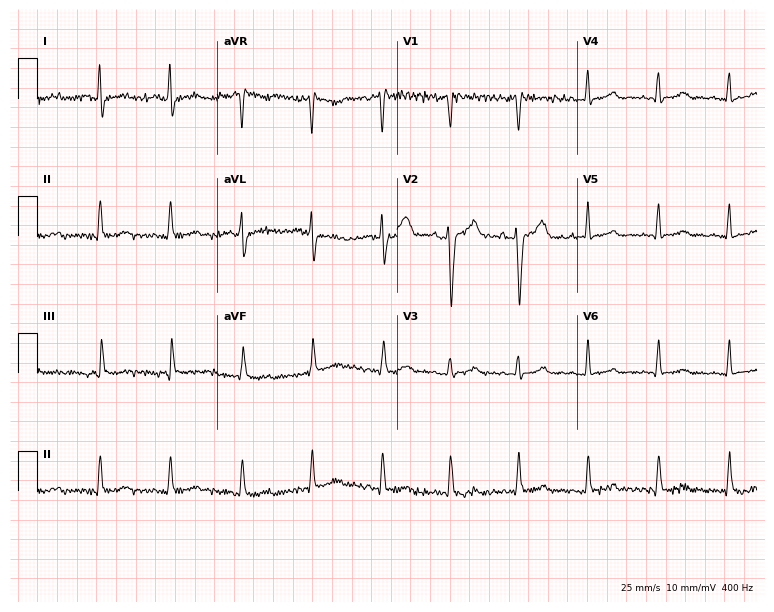
Resting 12-lead electrocardiogram. Patient: a 36-year-old female. None of these six findings is recorded: first-degree AV block, right bundle branch block, left bundle branch block, sinus bradycardia, atrial fibrillation, sinus tachycardia. Findings outside these six are not listed.